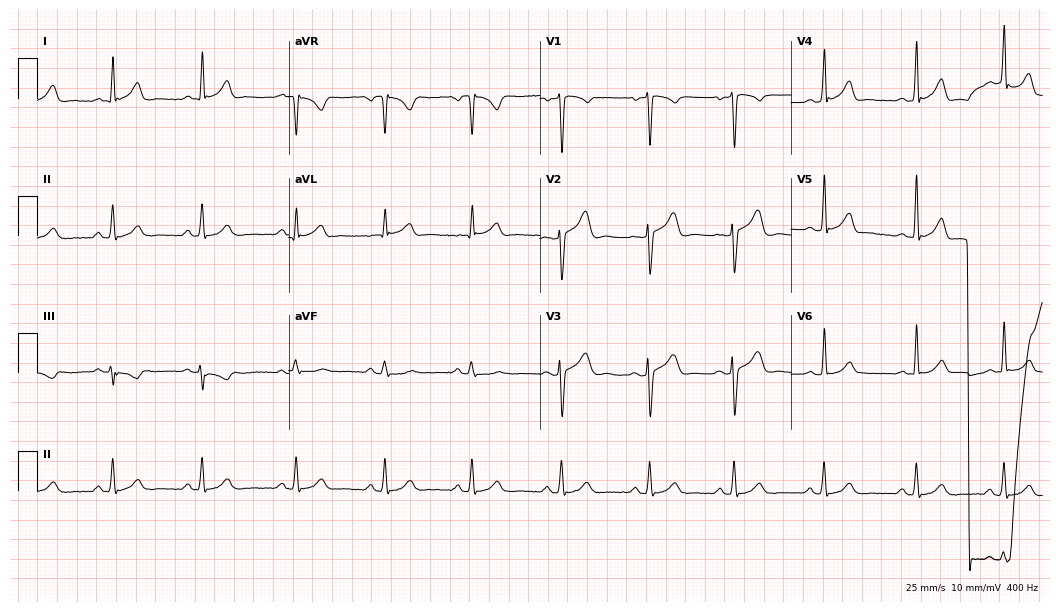
Electrocardiogram (10.2-second recording at 400 Hz), a male, 30 years old. Overall reading on record: normal ECG.